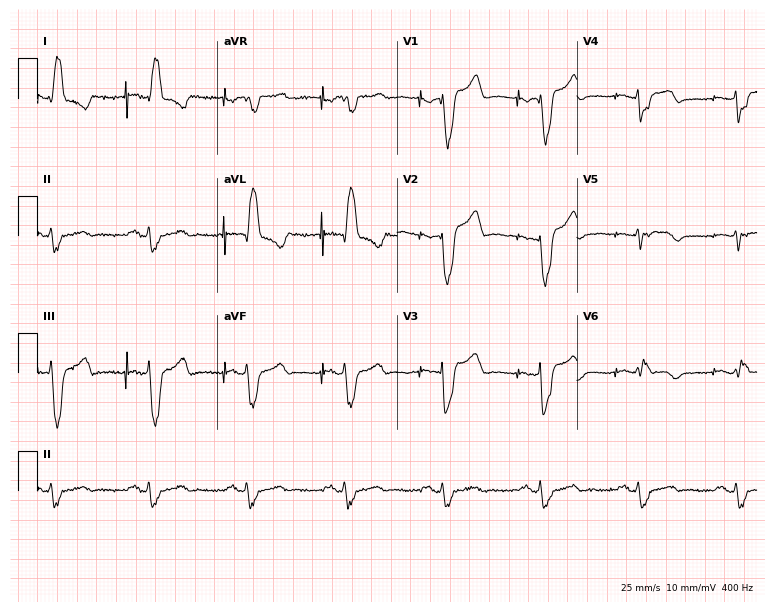
ECG (7.3-second recording at 400 Hz) — a female patient, 56 years old. Screened for six findings — first-degree AV block, right bundle branch block (RBBB), left bundle branch block (LBBB), sinus bradycardia, atrial fibrillation (AF), sinus tachycardia — none is recorded. Other findings, if any, are not listed.